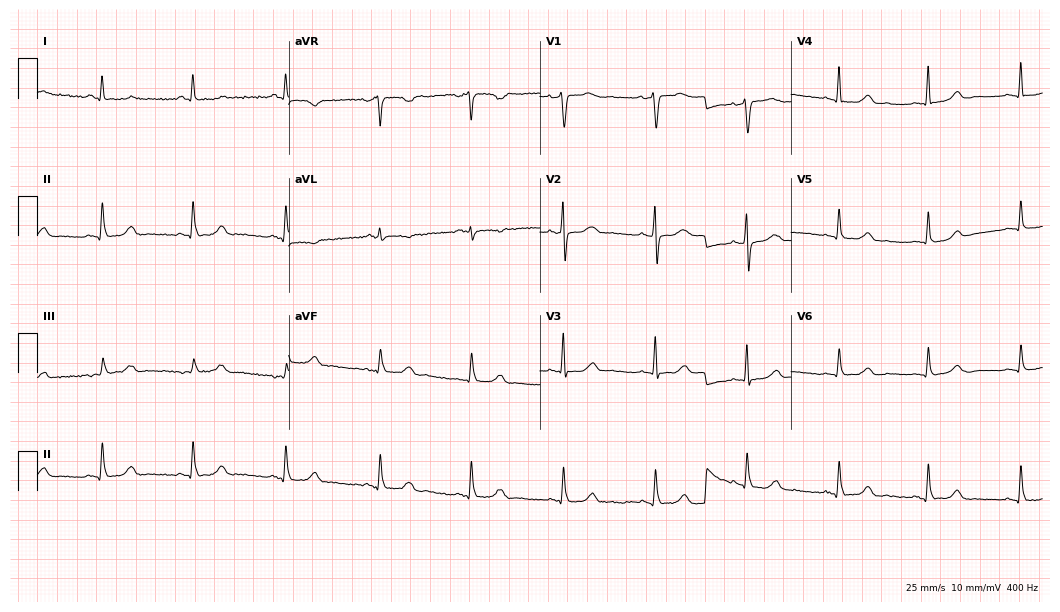
12-lead ECG from a female patient, 54 years old. Recorded interpretation: within normal limits.